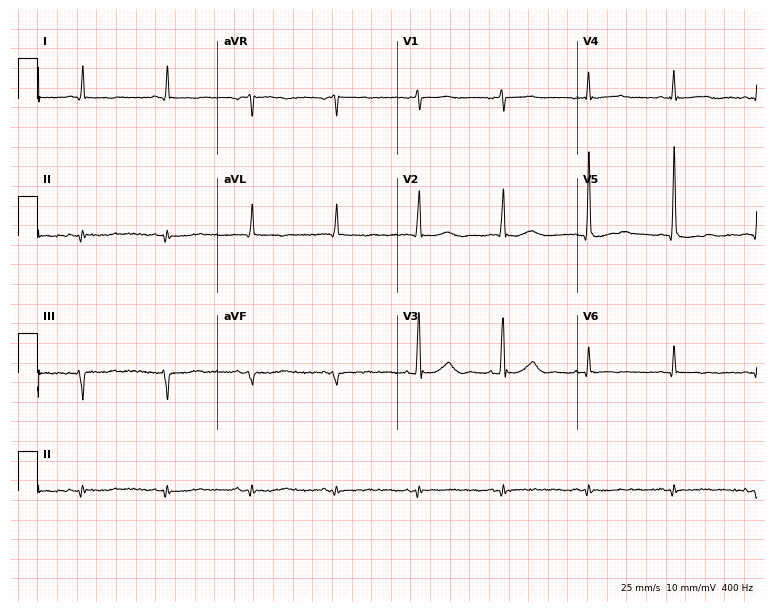
Electrocardiogram, a 78-year-old male. Of the six screened findings (first-degree AV block, right bundle branch block, left bundle branch block, sinus bradycardia, atrial fibrillation, sinus tachycardia), none is recorded.